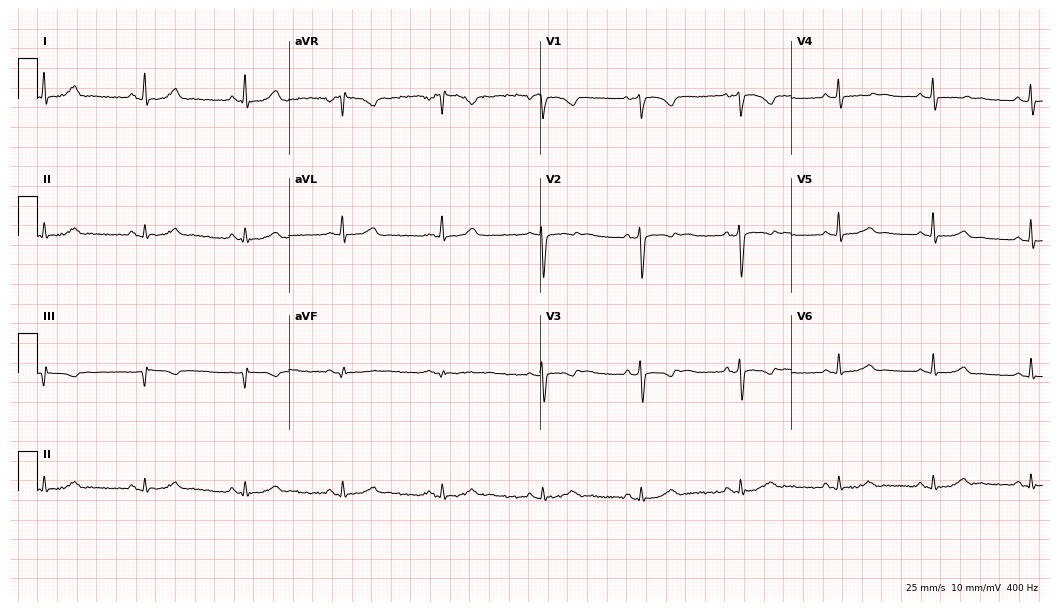
ECG — a 43-year-old female patient. Screened for six findings — first-degree AV block, right bundle branch block (RBBB), left bundle branch block (LBBB), sinus bradycardia, atrial fibrillation (AF), sinus tachycardia — none is recorded.